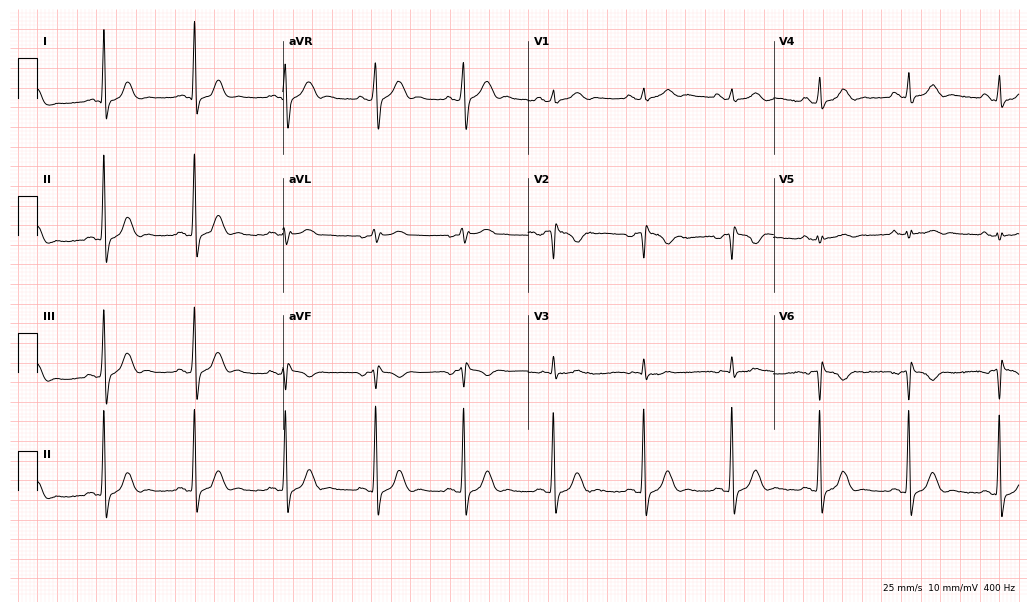
Resting 12-lead electrocardiogram. Patient: a man, 60 years old. None of these six findings is recorded: first-degree AV block, right bundle branch block, left bundle branch block, sinus bradycardia, atrial fibrillation, sinus tachycardia. Other findings, if any, are not listed.